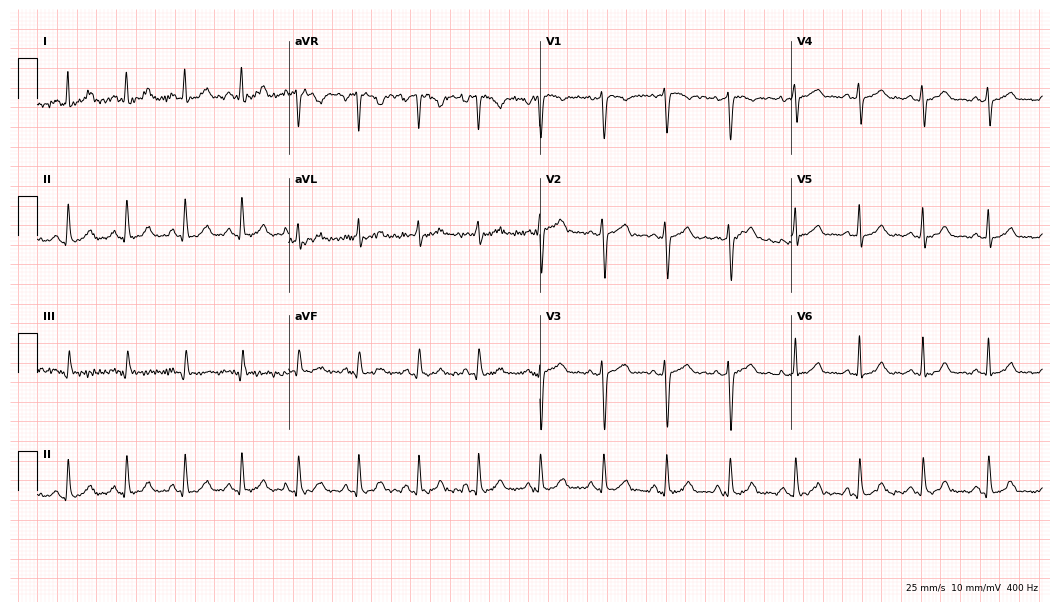
ECG — a 31-year-old female. Labelled as a normal ECG.